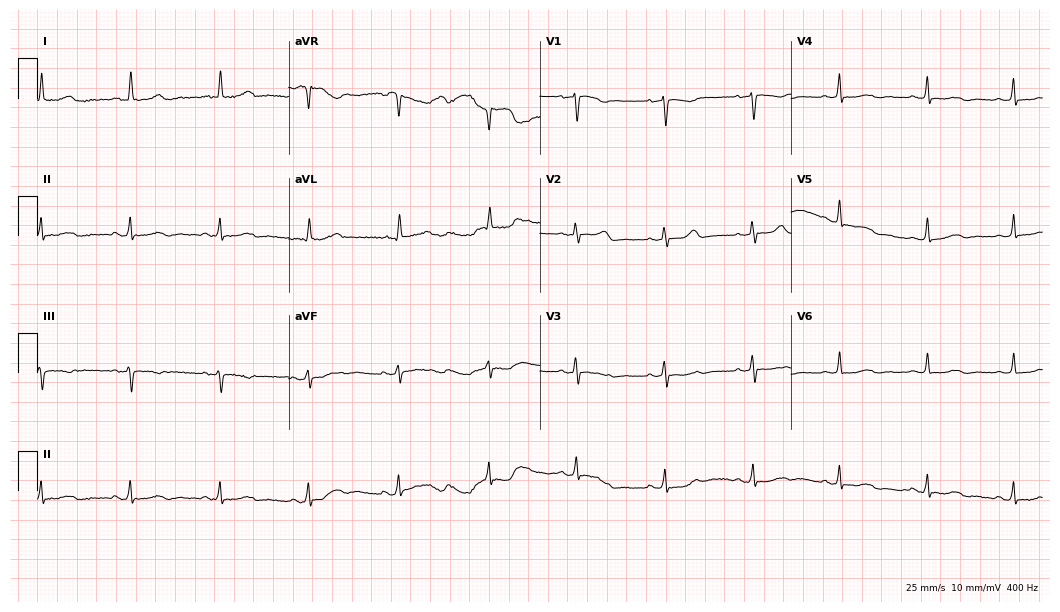
Resting 12-lead electrocardiogram. Patient: a female, 75 years old. Read as a normal ECG.